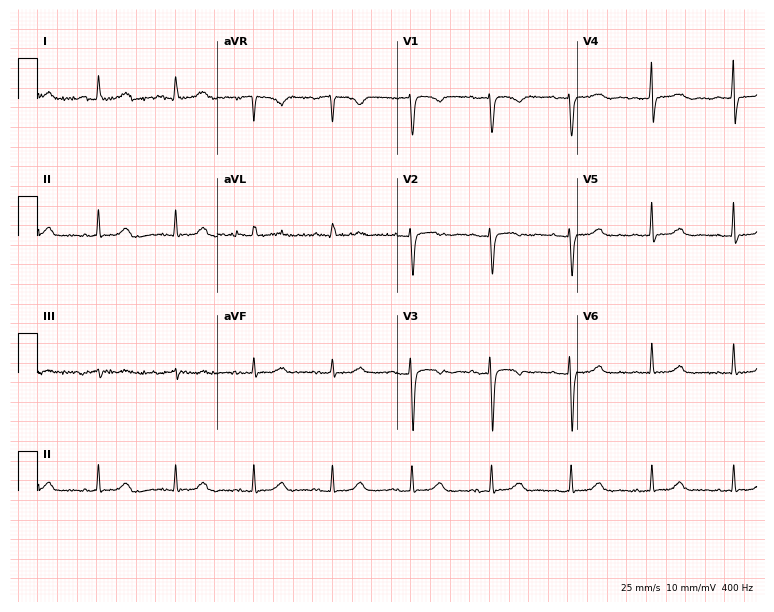
ECG (7.3-second recording at 400 Hz) — a woman, 62 years old. Screened for six findings — first-degree AV block, right bundle branch block, left bundle branch block, sinus bradycardia, atrial fibrillation, sinus tachycardia — none is recorded. Findings outside these six are not listed.